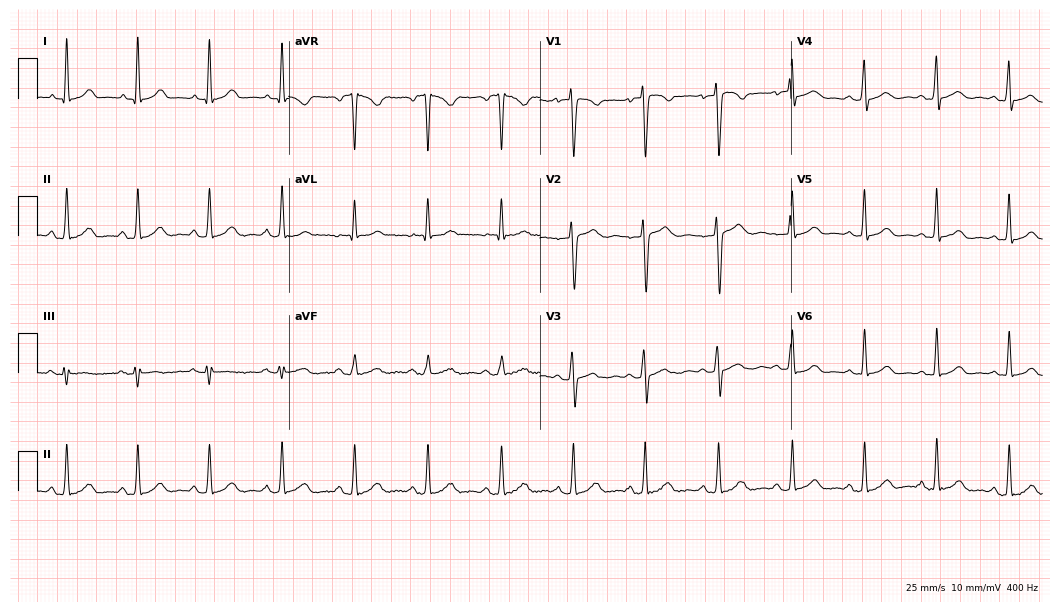
Electrocardiogram, a 26-year-old woman. Overall reading on record: normal ECG.